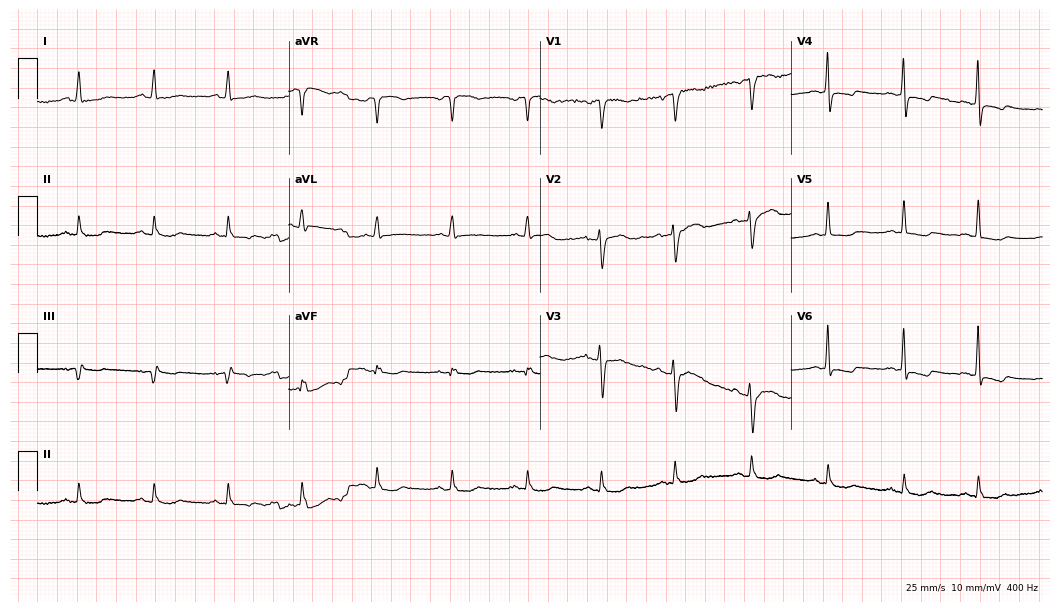
Resting 12-lead electrocardiogram. Patient: a female, 67 years old. None of these six findings is recorded: first-degree AV block, right bundle branch block, left bundle branch block, sinus bradycardia, atrial fibrillation, sinus tachycardia. Other findings, if any, are not listed.